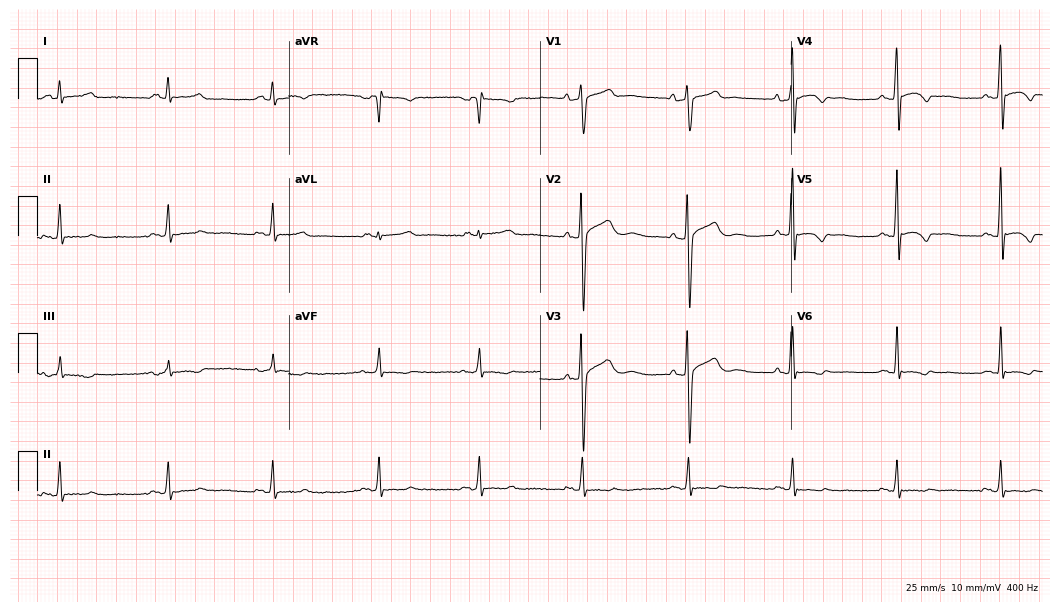
ECG (10.2-second recording at 400 Hz) — a male patient, 51 years old. Screened for six findings — first-degree AV block, right bundle branch block, left bundle branch block, sinus bradycardia, atrial fibrillation, sinus tachycardia — none is recorded.